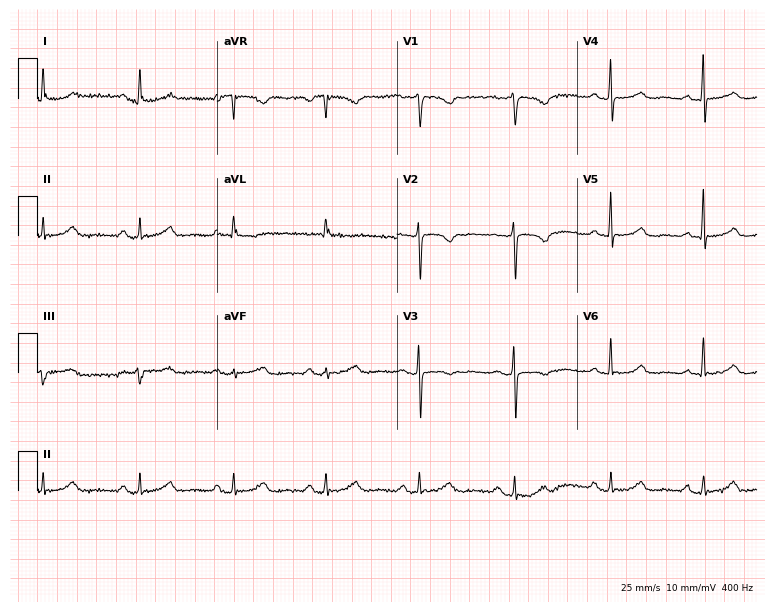
Standard 12-lead ECG recorded from a female patient, 57 years old (7.3-second recording at 400 Hz). None of these six findings is recorded: first-degree AV block, right bundle branch block, left bundle branch block, sinus bradycardia, atrial fibrillation, sinus tachycardia.